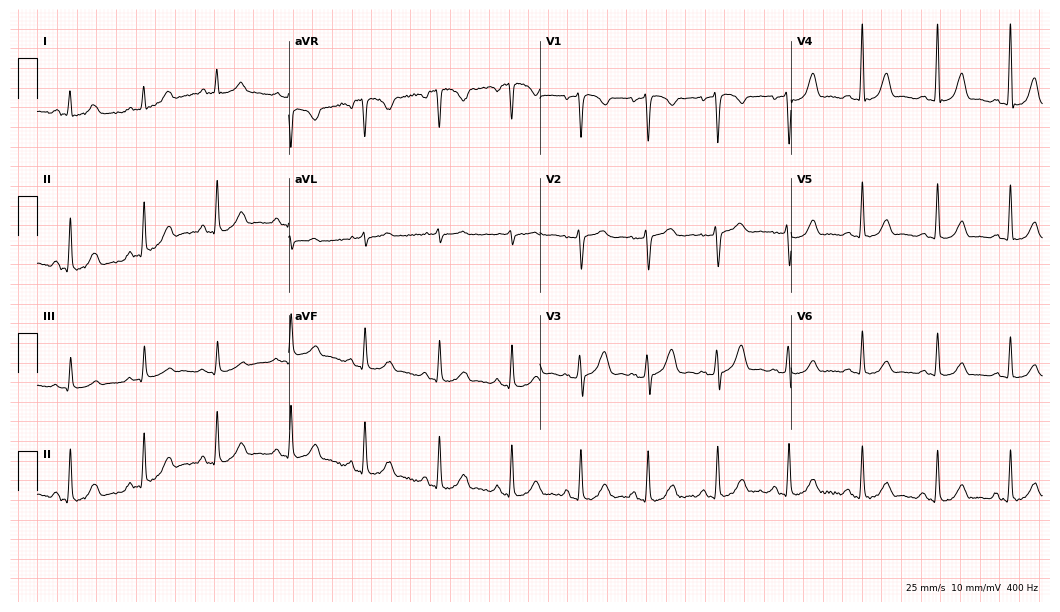
Resting 12-lead electrocardiogram. Patient: a 41-year-old female. Read as a normal ECG.